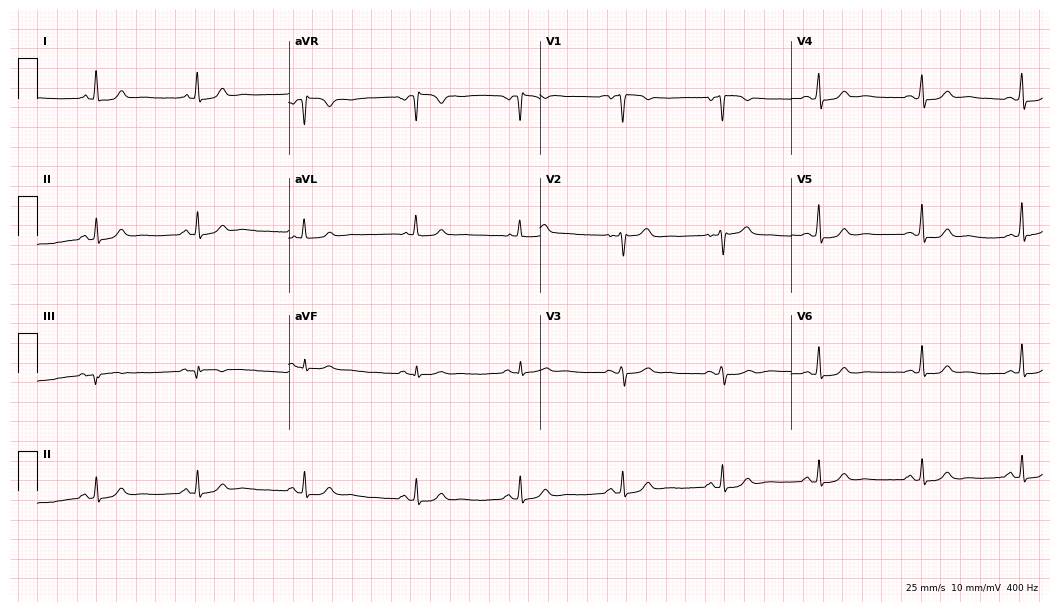
Resting 12-lead electrocardiogram. Patient: a 50-year-old female. Read as a normal ECG.